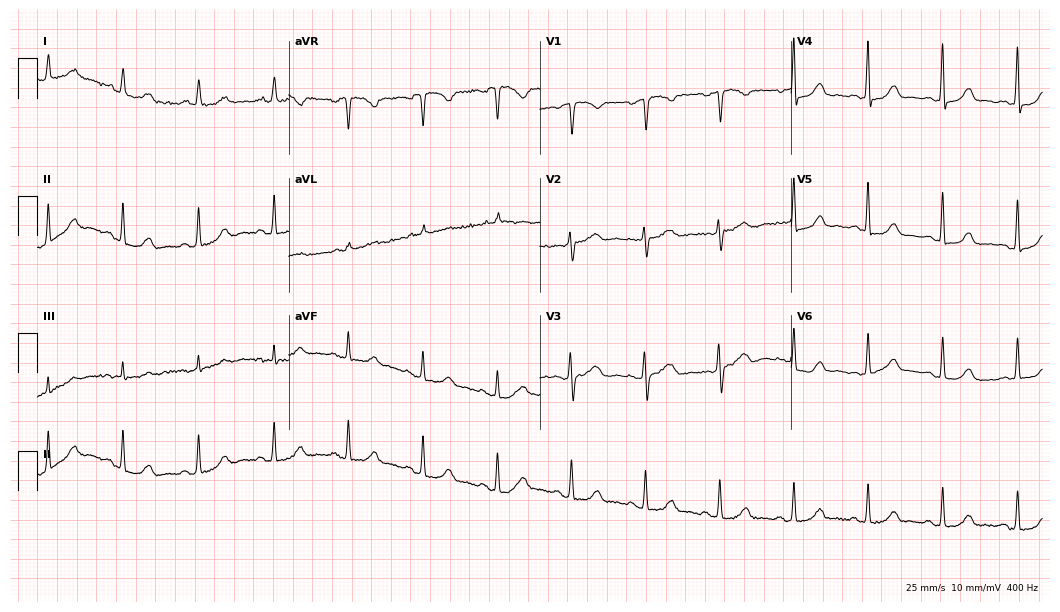
Standard 12-lead ECG recorded from a woman, 39 years old (10.2-second recording at 400 Hz). Read as a normal ECG.